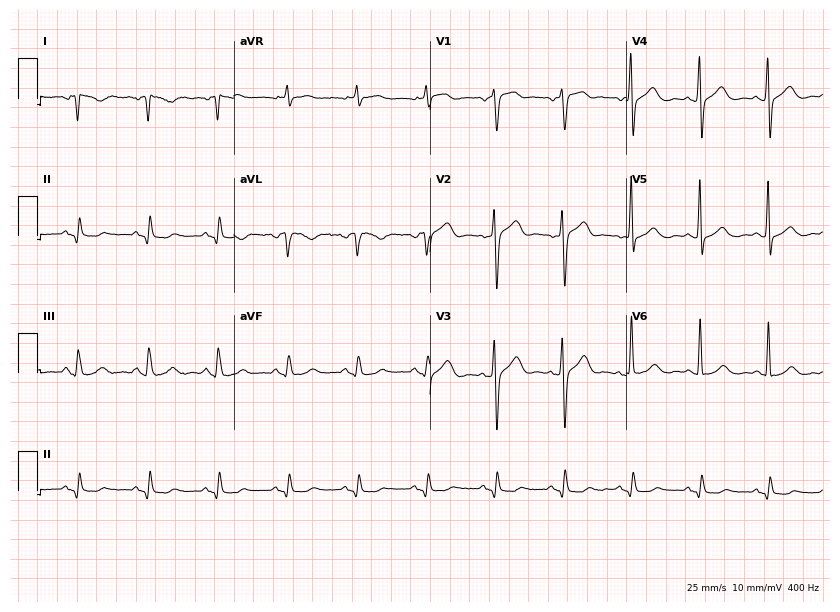
ECG — a man, 77 years old. Screened for six findings — first-degree AV block, right bundle branch block (RBBB), left bundle branch block (LBBB), sinus bradycardia, atrial fibrillation (AF), sinus tachycardia — none is recorded.